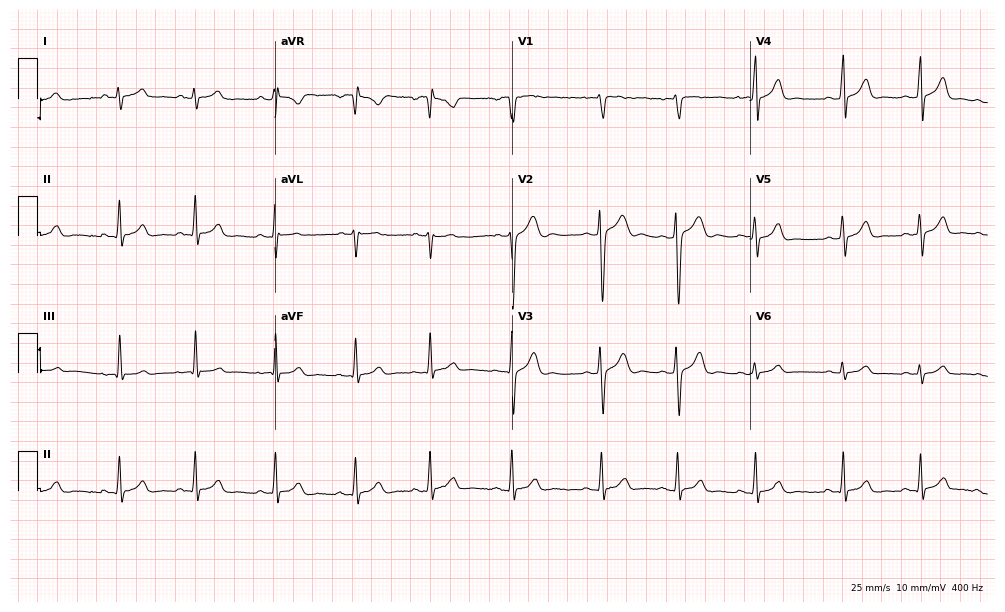
12-lead ECG (9.7-second recording at 400 Hz) from a female, 57 years old. Labelled as a normal ECG.